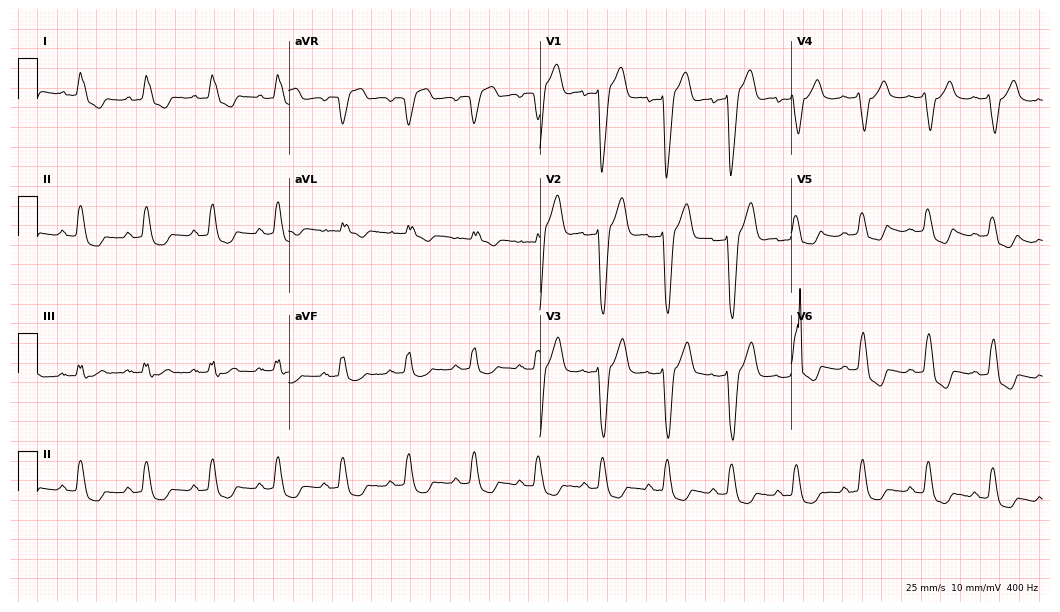
12-lead ECG from an 82-year-old male patient. Findings include left bundle branch block.